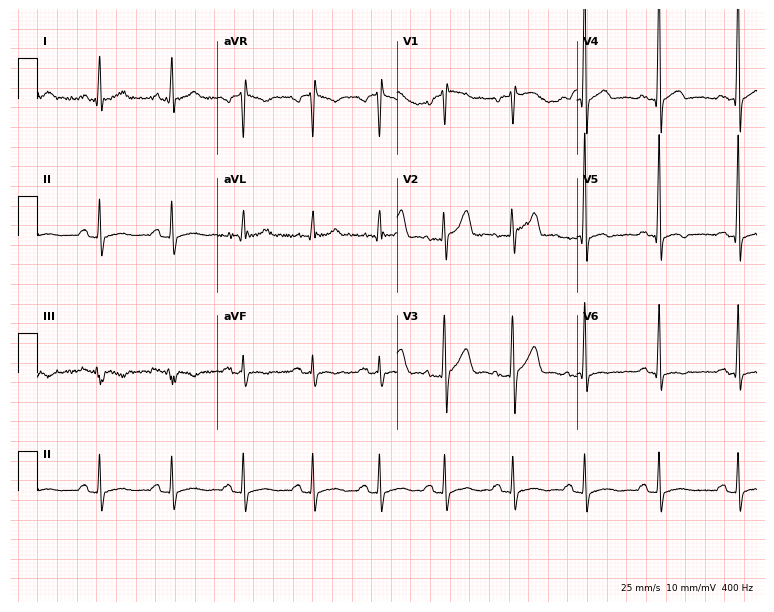
Standard 12-lead ECG recorded from a 48-year-old man. None of these six findings is recorded: first-degree AV block, right bundle branch block (RBBB), left bundle branch block (LBBB), sinus bradycardia, atrial fibrillation (AF), sinus tachycardia. Findings outside these six are not listed.